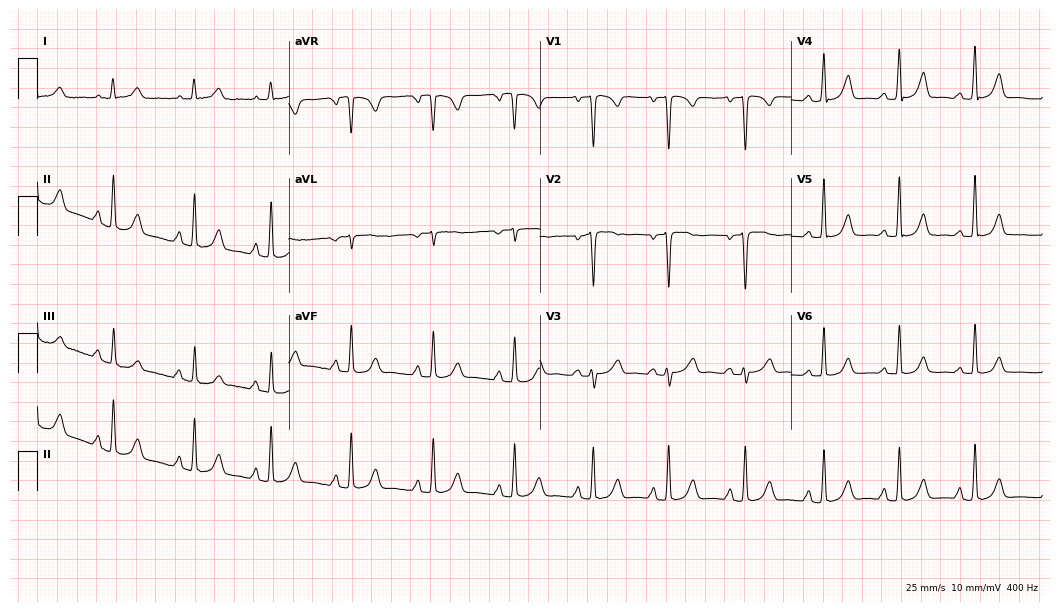
Electrocardiogram, a 33-year-old woman. Of the six screened findings (first-degree AV block, right bundle branch block (RBBB), left bundle branch block (LBBB), sinus bradycardia, atrial fibrillation (AF), sinus tachycardia), none is recorded. Only these six findings were labelled.